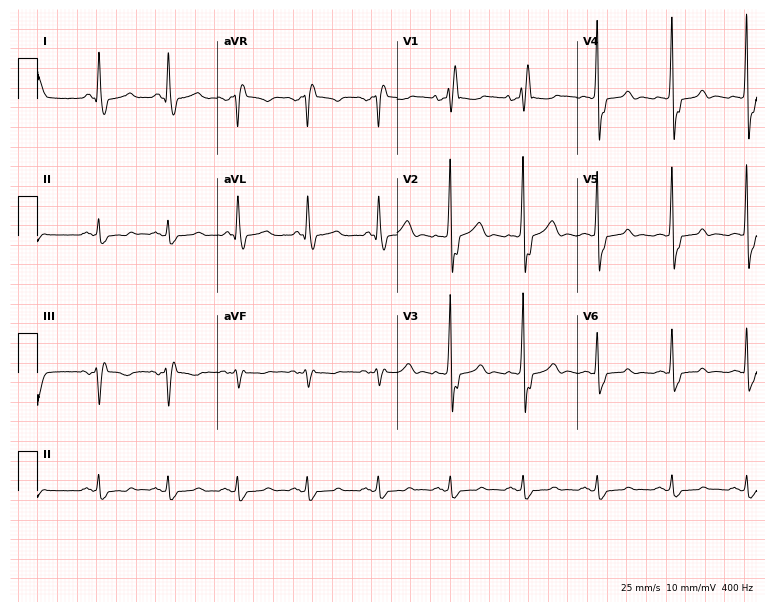
Resting 12-lead electrocardiogram. Patient: a man, 80 years old. The tracing shows right bundle branch block.